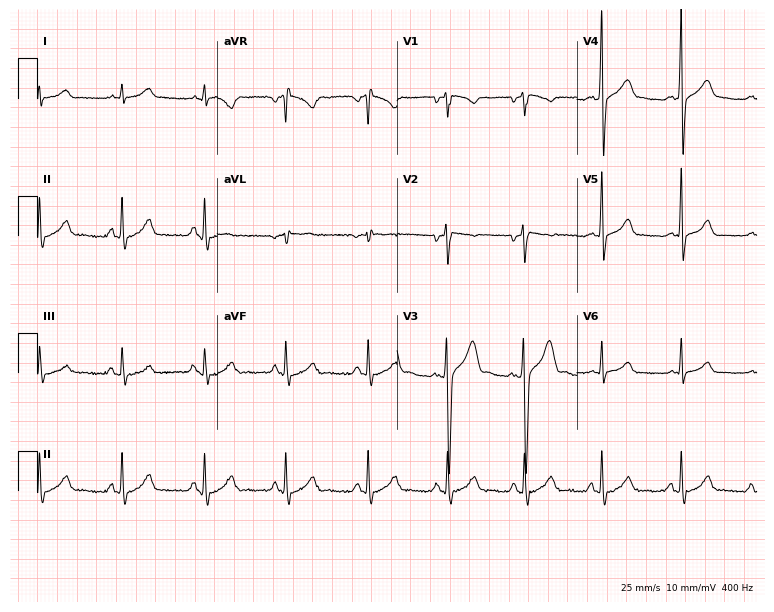
Resting 12-lead electrocardiogram. Patient: a 20-year-old man. Read as a normal ECG.